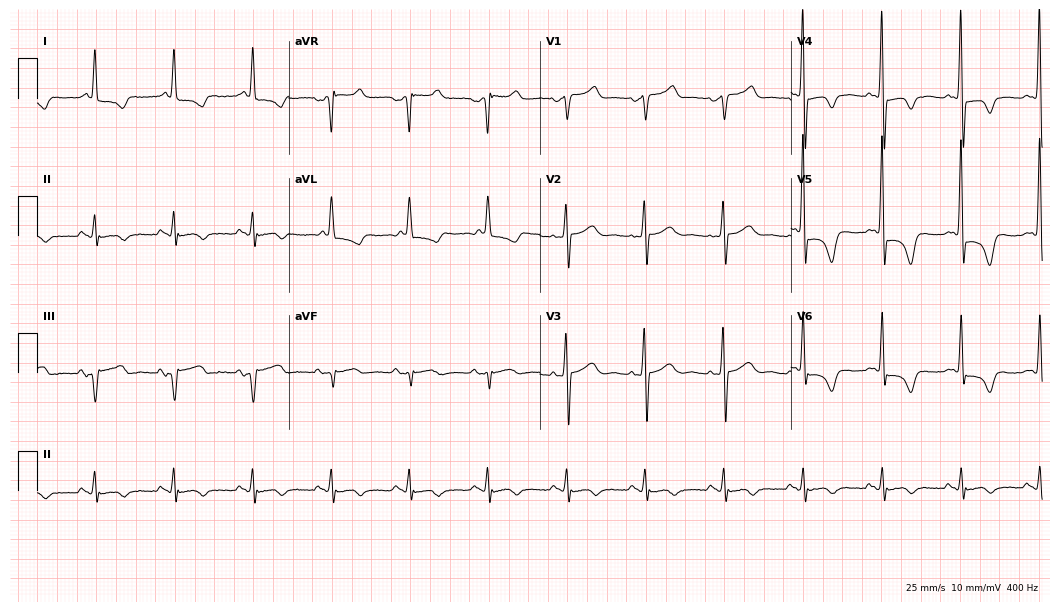
Standard 12-lead ECG recorded from a 73-year-old male (10.2-second recording at 400 Hz). None of these six findings is recorded: first-degree AV block, right bundle branch block, left bundle branch block, sinus bradycardia, atrial fibrillation, sinus tachycardia. Other findings, if any, are not listed.